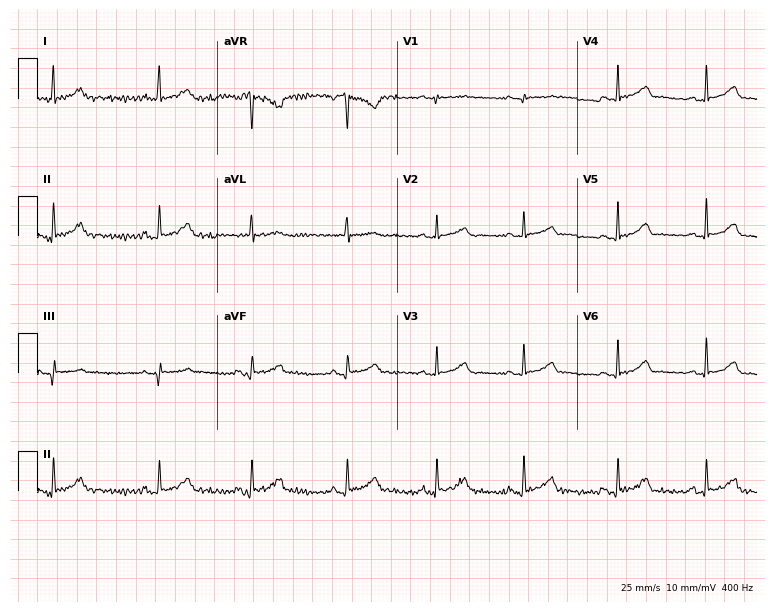
Standard 12-lead ECG recorded from a woman, 24 years old. Read as a normal ECG.